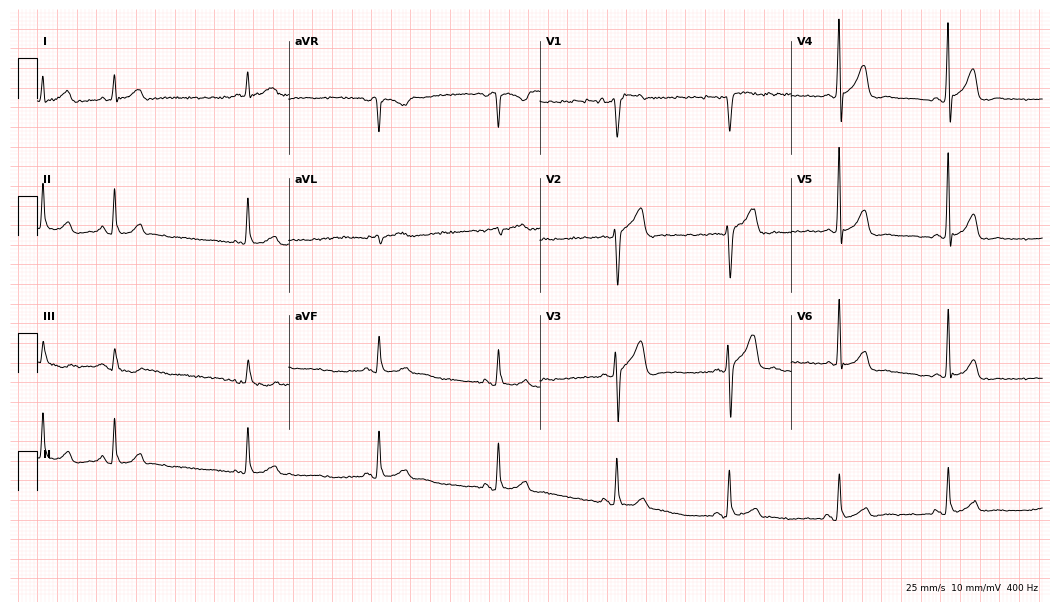
ECG (10.2-second recording at 400 Hz) — a male patient, 54 years old. Screened for six findings — first-degree AV block, right bundle branch block, left bundle branch block, sinus bradycardia, atrial fibrillation, sinus tachycardia — none is recorded. Other findings, if any, are not listed.